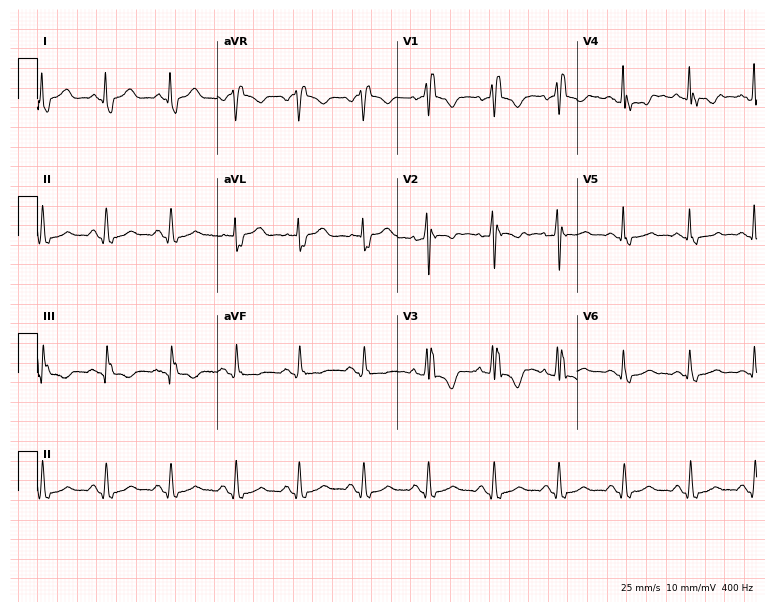
12-lead ECG (7.3-second recording at 400 Hz) from a female, 59 years old. Findings include right bundle branch block.